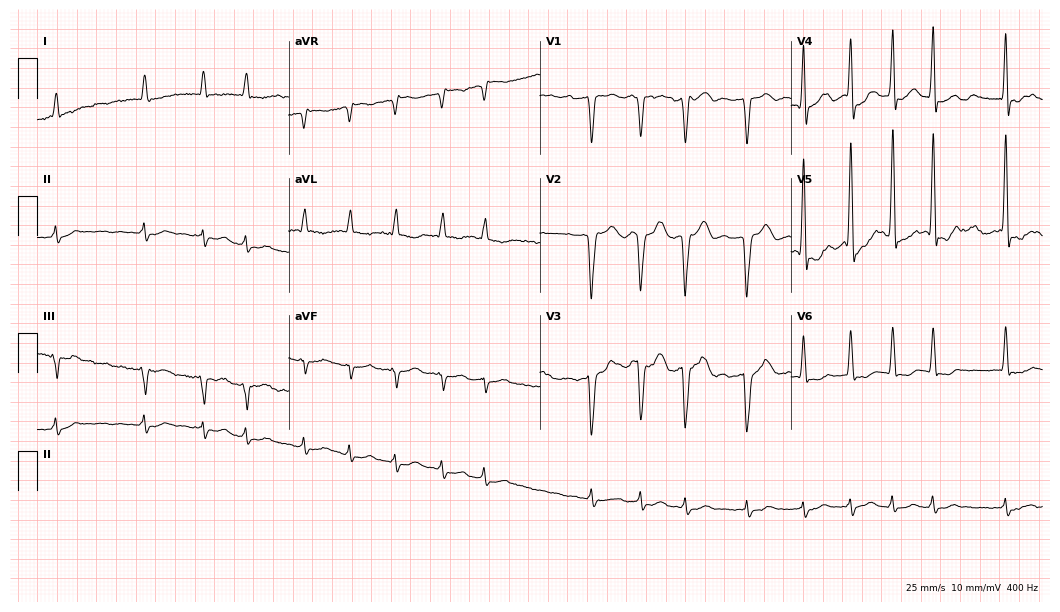
ECG (10.2-second recording at 400 Hz) — a male, 84 years old. Findings include atrial fibrillation (AF).